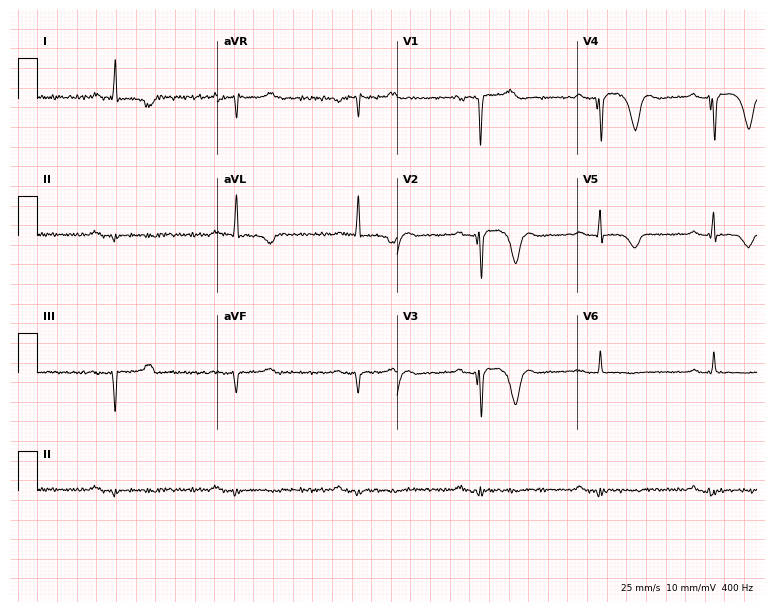
Standard 12-lead ECG recorded from a man, 61 years old (7.3-second recording at 400 Hz). None of these six findings is recorded: first-degree AV block, right bundle branch block (RBBB), left bundle branch block (LBBB), sinus bradycardia, atrial fibrillation (AF), sinus tachycardia.